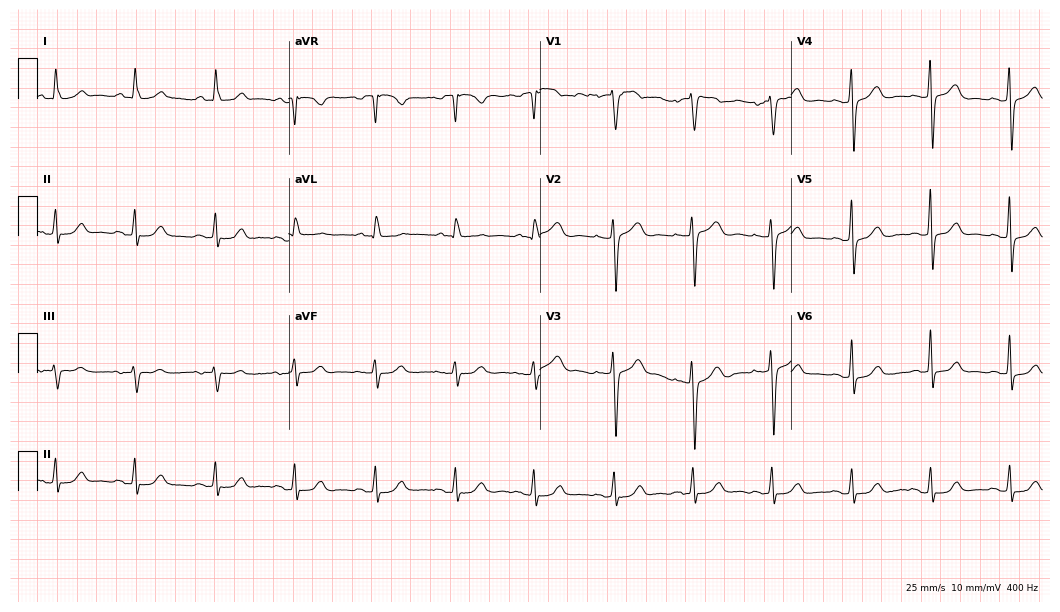
12-lead ECG (10.2-second recording at 400 Hz) from a 73-year-old woman. Labelled as a normal ECG.